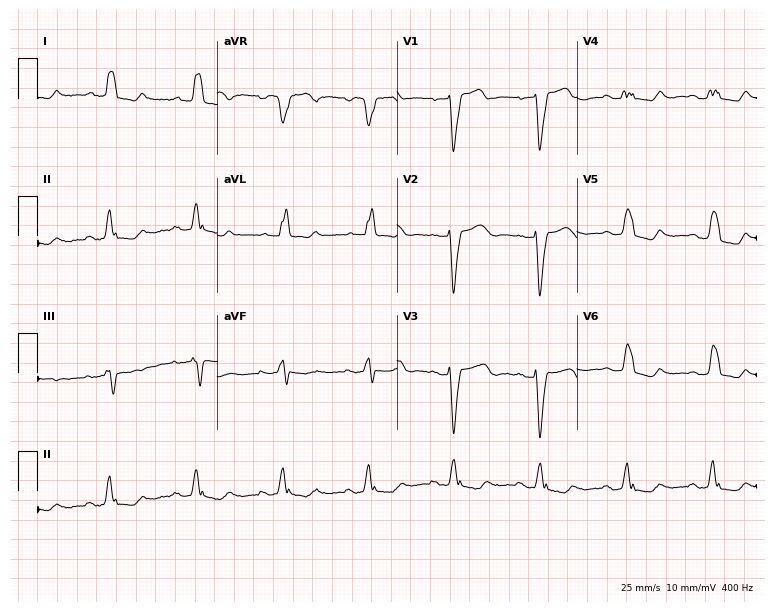
Standard 12-lead ECG recorded from a 77-year-old female patient. The tracing shows left bundle branch block.